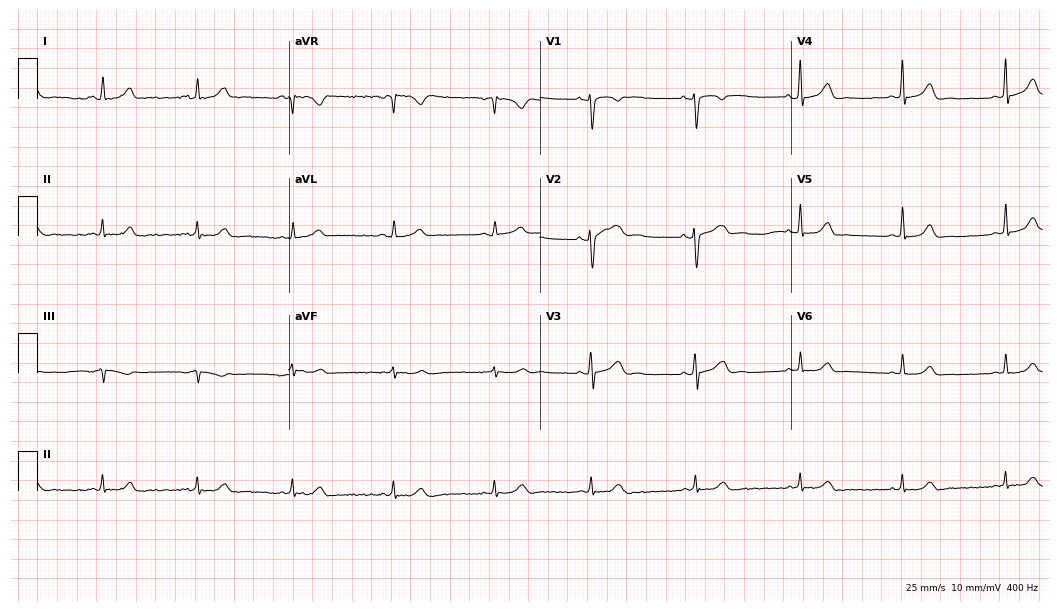
Electrocardiogram (10.2-second recording at 400 Hz), a woman, 30 years old. Overall reading on record: normal ECG.